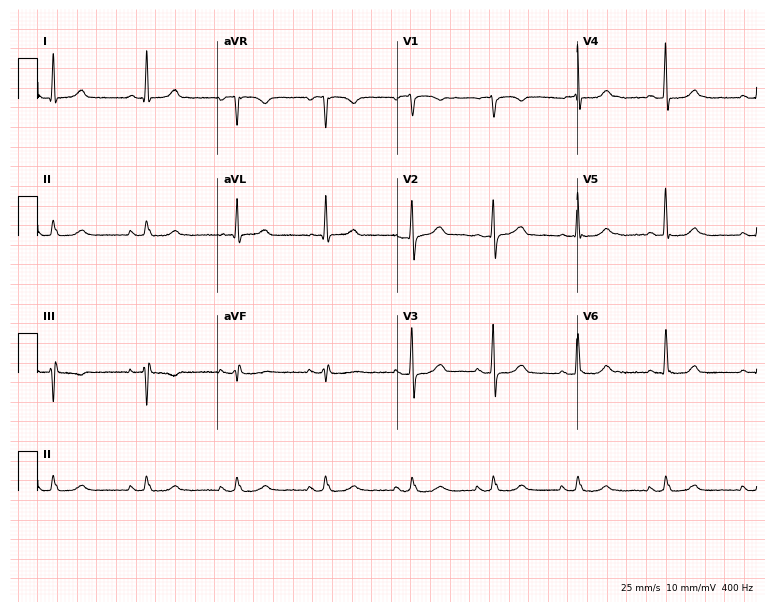
Electrocardiogram, a male, 81 years old. Overall reading on record: normal ECG.